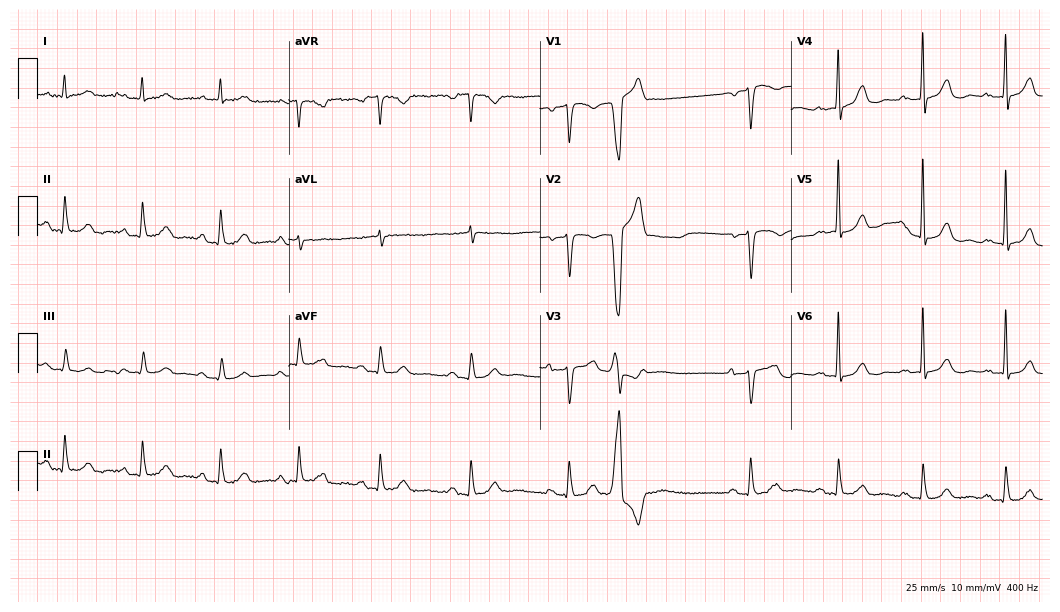
ECG (10.2-second recording at 400 Hz) — a man, 80 years old. Screened for six findings — first-degree AV block, right bundle branch block, left bundle branch block, sinus bradycardia, atrial fibrillation, sinus tachycardia — none is recorded. Other findings, if any, are not listed.